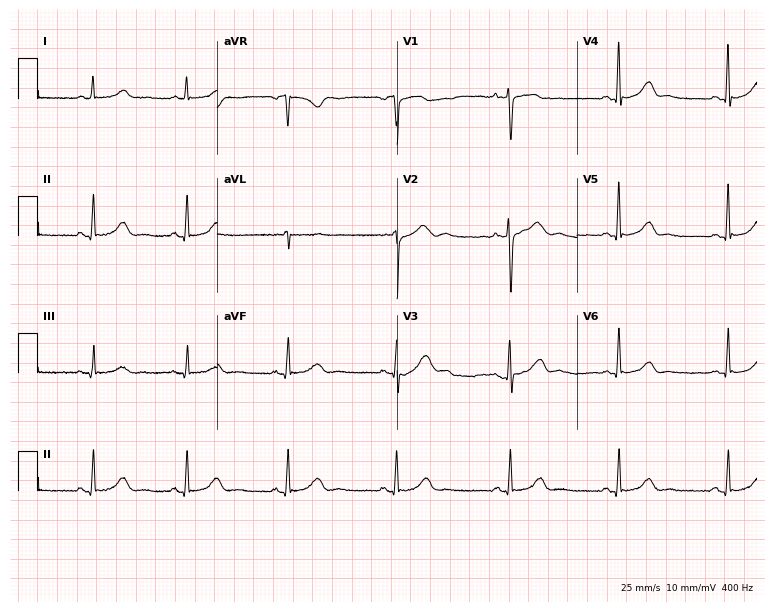
12-lead ECG (7.3-second recording at 400 Hz) from a female, 34 years old. Screened for six findings — first-degree AV block, right bundle branch block, left bundle branch block, sinus bradycardia, atrial fibrillation, sinus tachycardia — none is recorded.